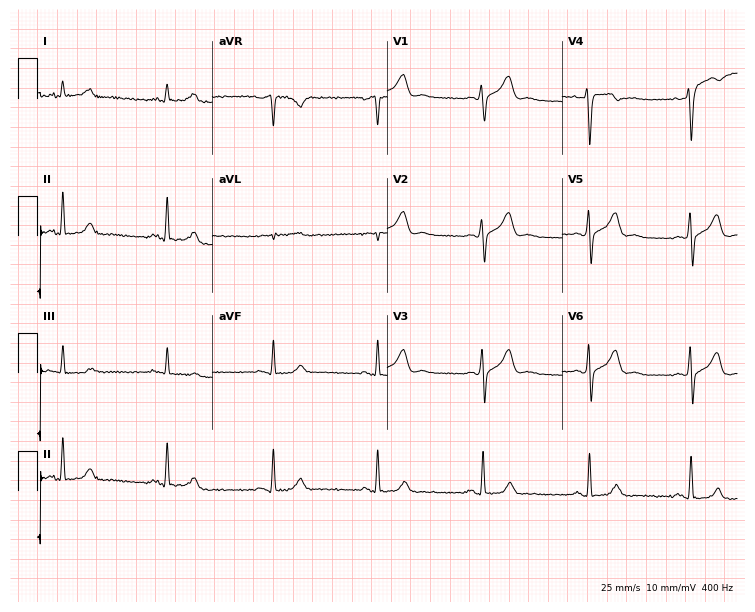
ECG — a 43-year-old man. Labelled as a normal ECG.